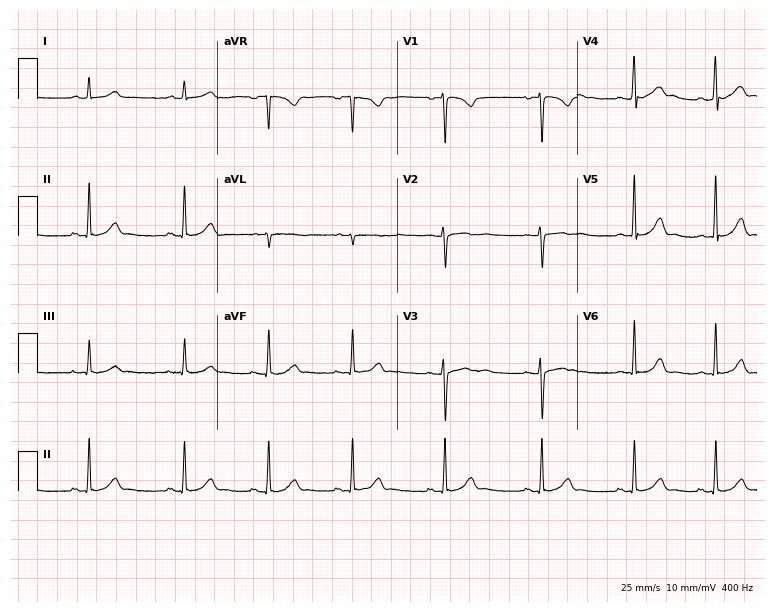
Resting 12-lead electrocardiogram (7.3-second recording at 400 Hz). Patient: a 21-year-old female. Read as a normal ECG.